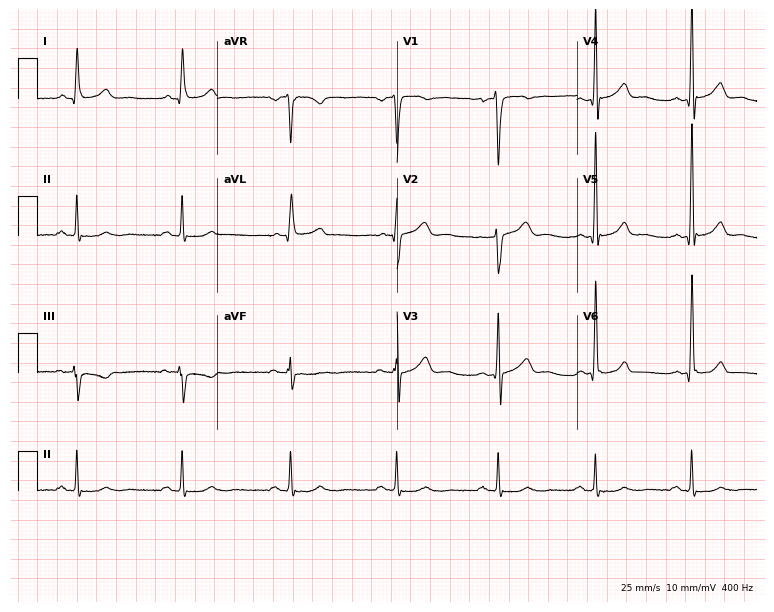
Standard 12-lead ECG recorded from a male, 56 years old (7.3-second recording at 400 Hz). None of these six findings is recorded: first-degree AV block, right bundle branch block, left bundle branch block, sinus bradycardia, atrial fibrillation, sinus tachycardia. Only these six findings were labelled.